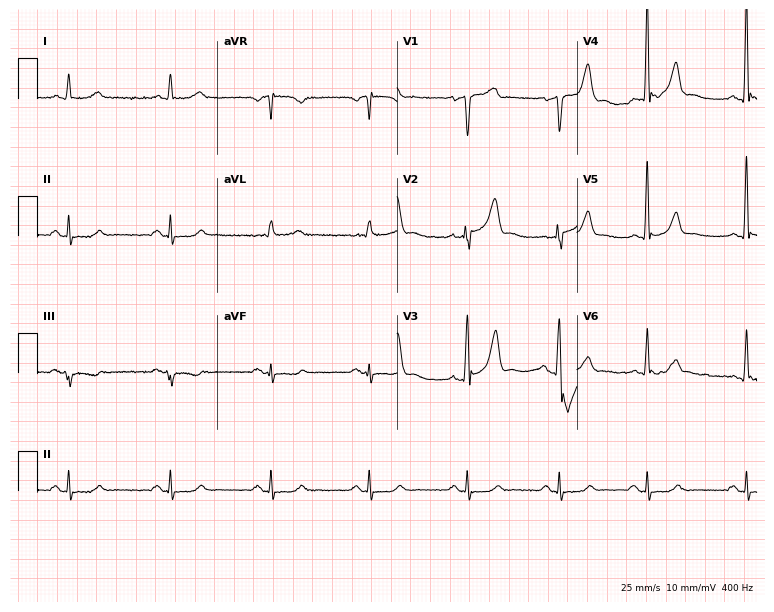
12-lead ECG from a man, 64 years old. Screened for six findings — first-degree AV block, right bundle branch block, left bundle branch block, sinus bradycardia, atrial fibrillation, sinus tachycardia — none is recorded. Other findings, if any, are not listed.